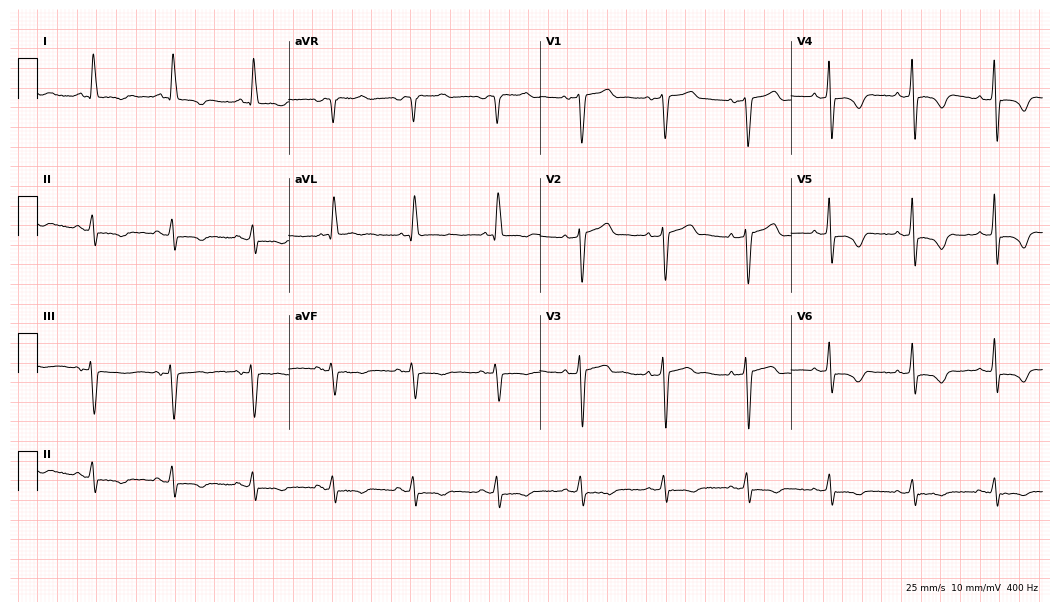
Standard 12-lead ECG recorded from a male patient, 66 years old. None of these six findings is recorded: first-degree AV block, right bundle branch block, left bundle branch block, sinus bradycardia, atrial fibrillation, sinus tachycardia. Other findings, if any, are not listed.